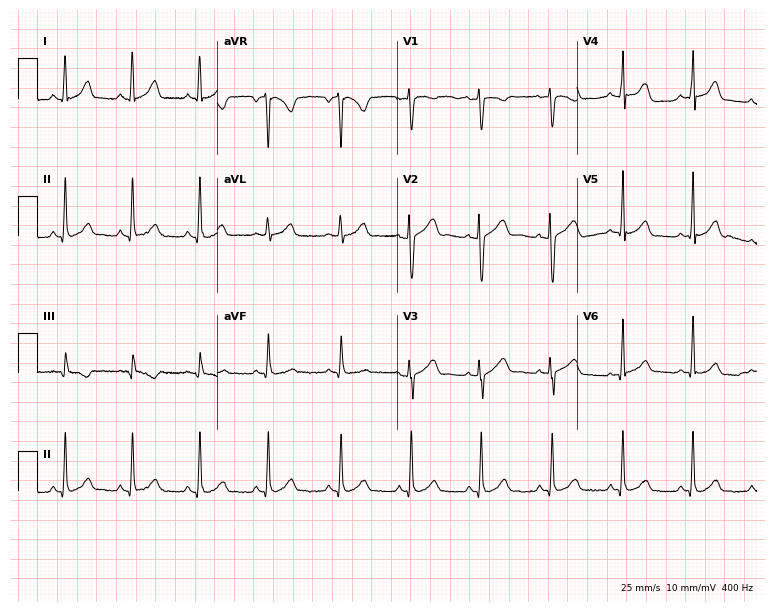
ECG — a female patient, 26 years old. Labelled as a normal ECG.